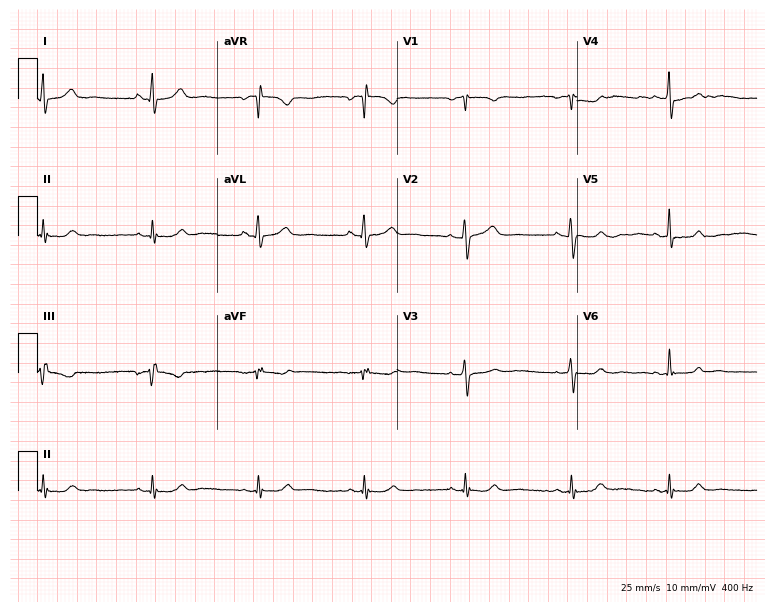
12-lead ECG from a 60-year-old female patient. No first-degree AV block, right bundle branch block, left bundle branch block, sinus bradycardia, atrial fibrillation or sinus tachycardia recorded for this tracing.